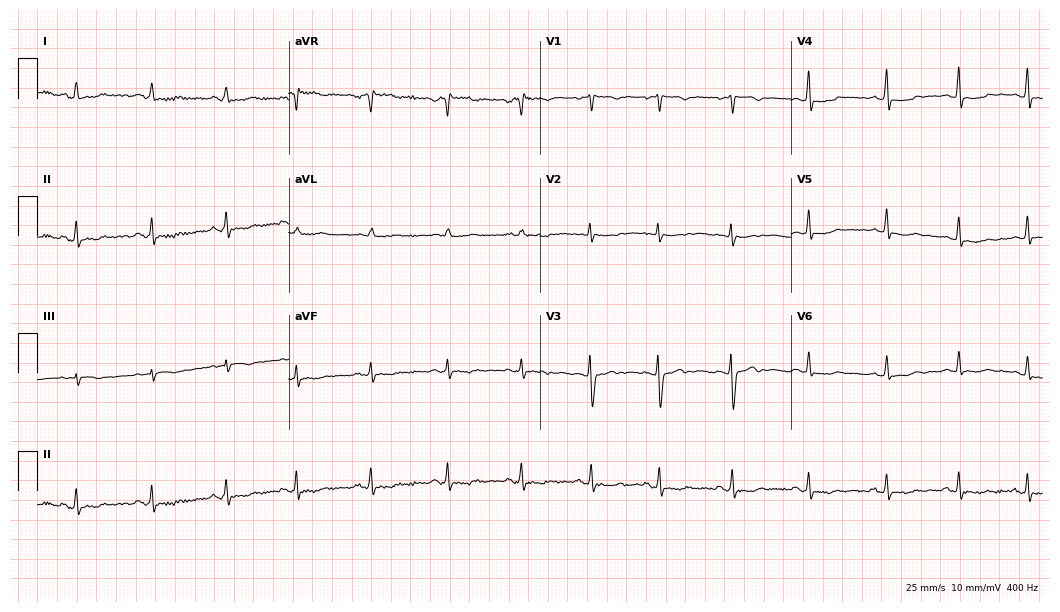
ECG (10.2-second recording at 400 Hz) — a 20-year-old woman. Screened for six findings — first-degree AV block, right bundle branch block, left bundle branch block, sinus bradycardia, atrial fibrillation, sinus tachycardia — none is recorded. Other findings, if any, are not listed.